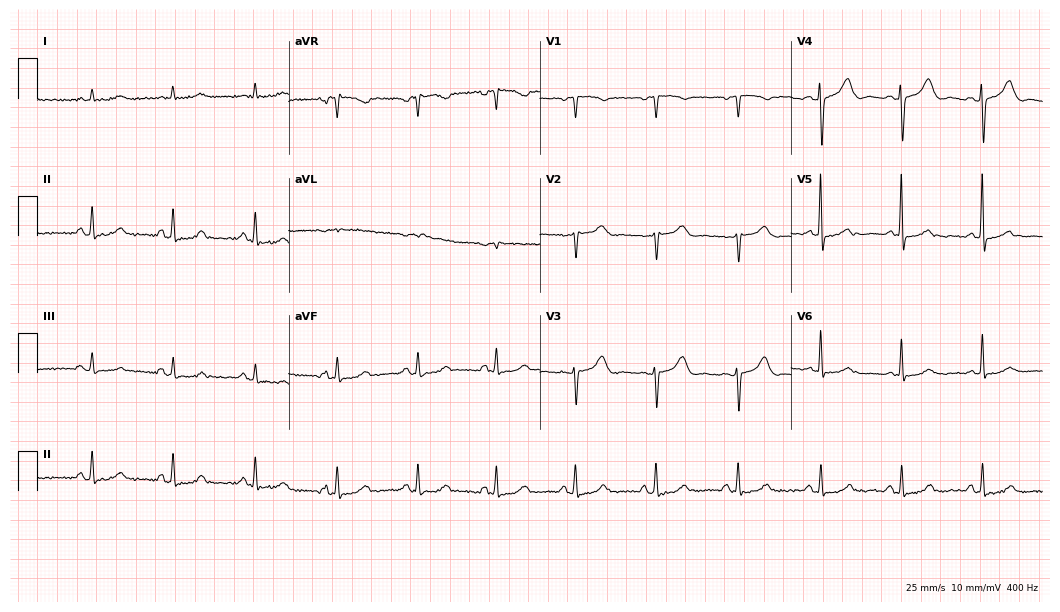
12-lead ECG from a female patient, 73 years old. Recorded interpretation: within normal limits.